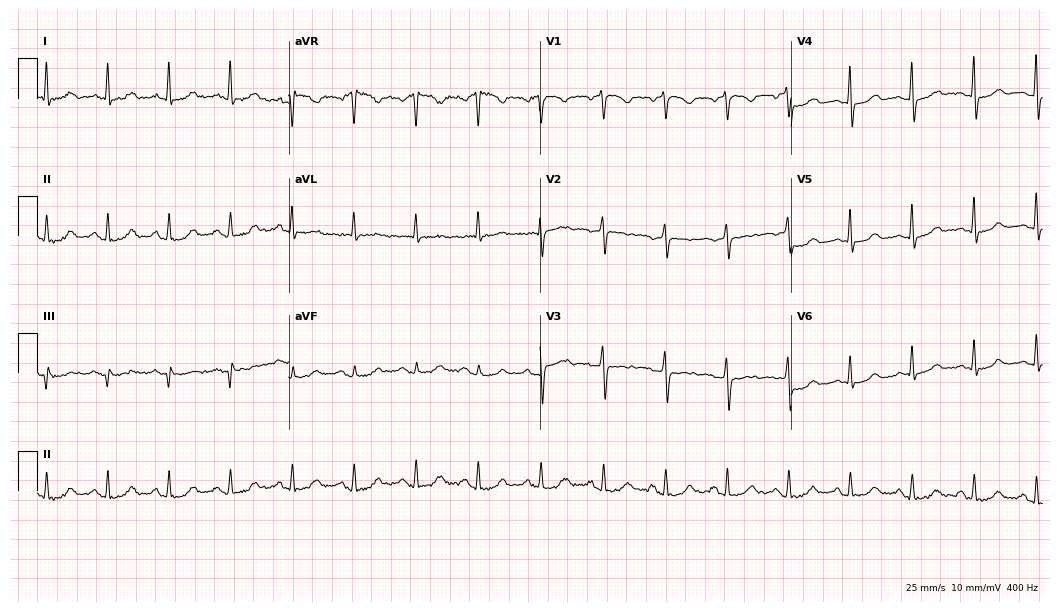
12-lead ECG from a 52-year-old female patient. Screened for six findings — first-degree AV block, right bundle branch block, left bundle branch block, sinus bradycardia, atrial fibrillation, sinus tachycardia — none is recorded. Only these six findings were labelled.